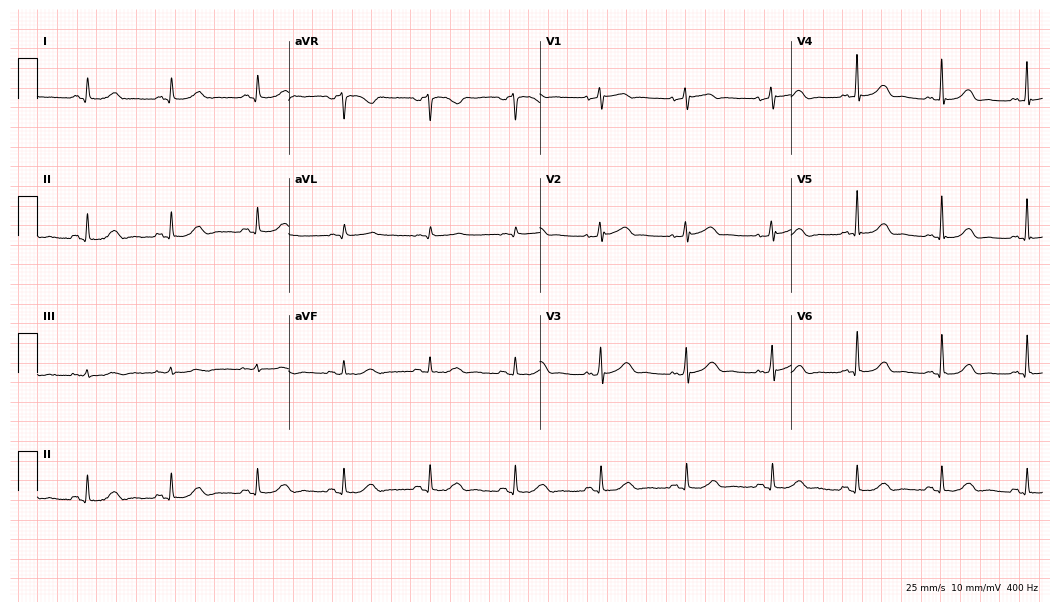
ECG (10.2-second recording at 400 Hz) — a female, 59 years old. Screened for six findings — first-degree AV block, right bundle branch block, left bundle branch block, sinus bradycardia, atrial fibrillation, sinus tachycardia — none is recorded. Findings outside these six are not listed.